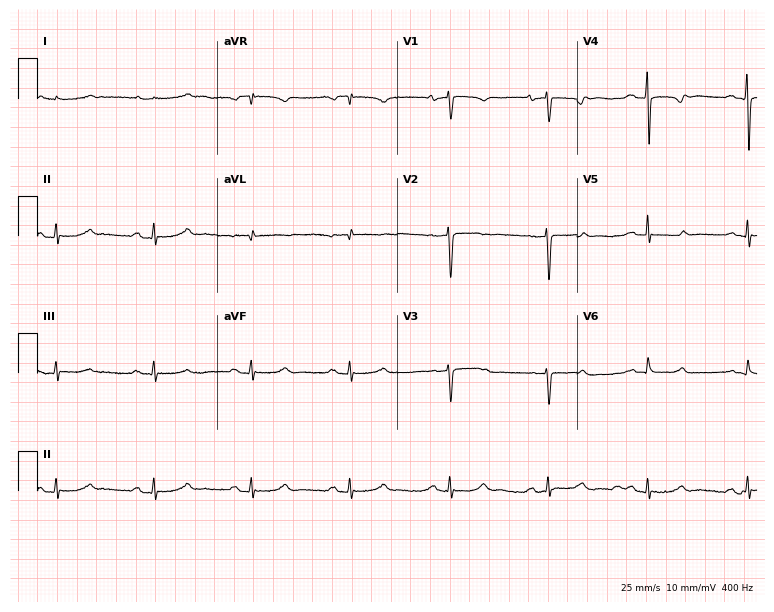
12-lead ECG from a woman, 61 years old. Screened for six findings — first-degree AV block, right bundle branch block, left bundle branch block, sinus bradycardia, atrial fibrillation, sinus tachycardia — none is recorded. Findings outside these six are not listed.